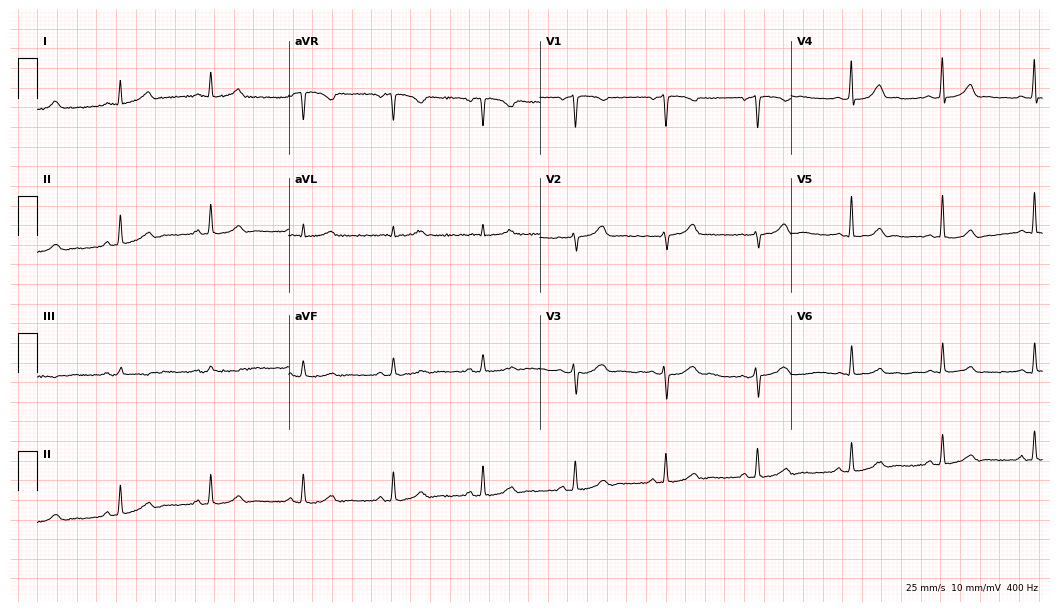
Standard 12-lead ECG recorded from a 39-year-old woman. None of these six findings is recorded: first-degree AV block, right bundle branch block (RBBB), left bundle branch block (LBBB), sinus bradycardia, atrial fibrillation (AF), sinus tachycardia. Findings outside these six are not listed.